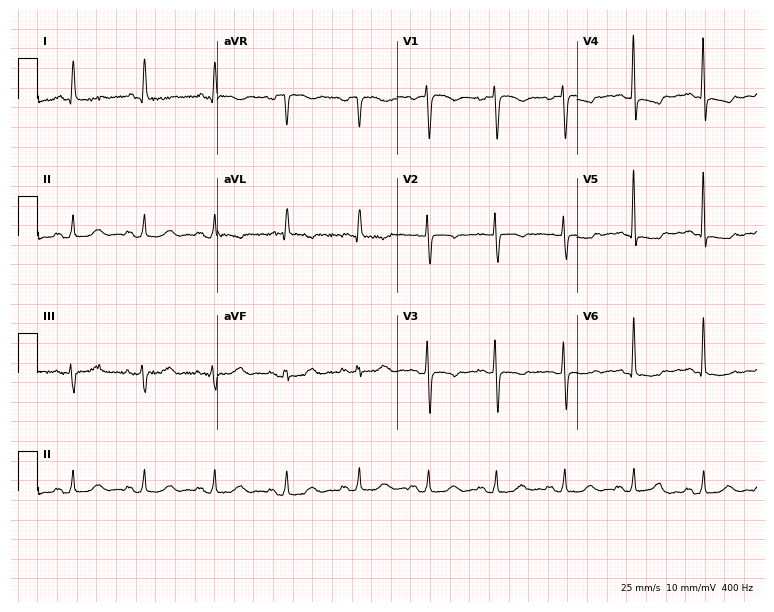
ECG (7.3-second recording at 400 Hz) — a 67-year-old man. Screened for six findings — first-degree AV block, right bundle branch block, left bundle branch block, sinus bradycardia, atrial fibrillation, sinus tachycardia — none is recorded.